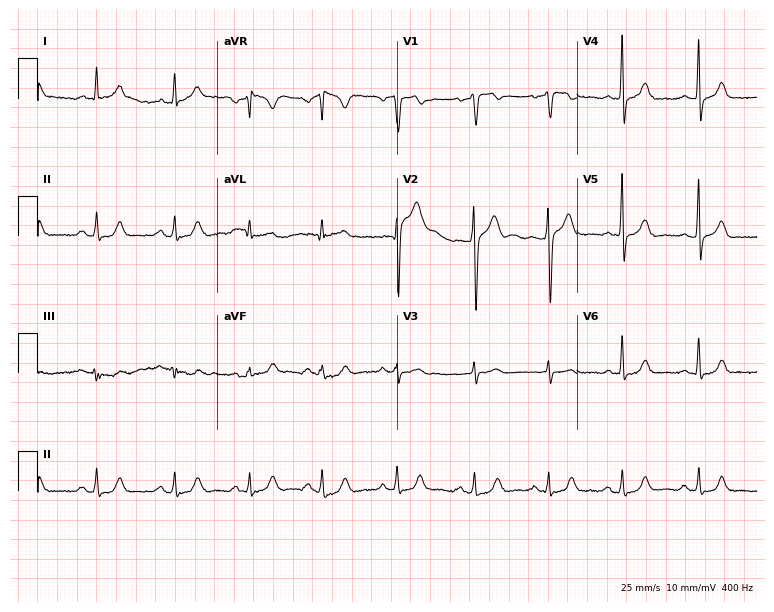
Standard 12-lead ECG recorded from a 41-year-old man. None of these six findings is recorded: first-degree AV block, right bundle branch block (RBBB), left bundle branch block (LBBB), sinus bradycardia, atrial fibrillation (AF), sinus tachycardia.